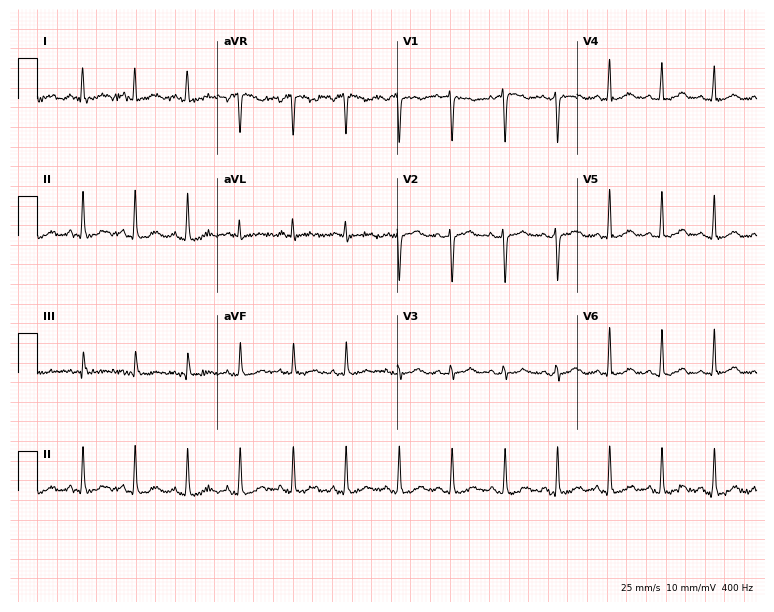
Electrocardiogram (7.3-second recording at 400 Hz), a female patient, 36 years old. Interpretation includes sinus tachycardia (a sinus rate of 100 beats per minute or more).